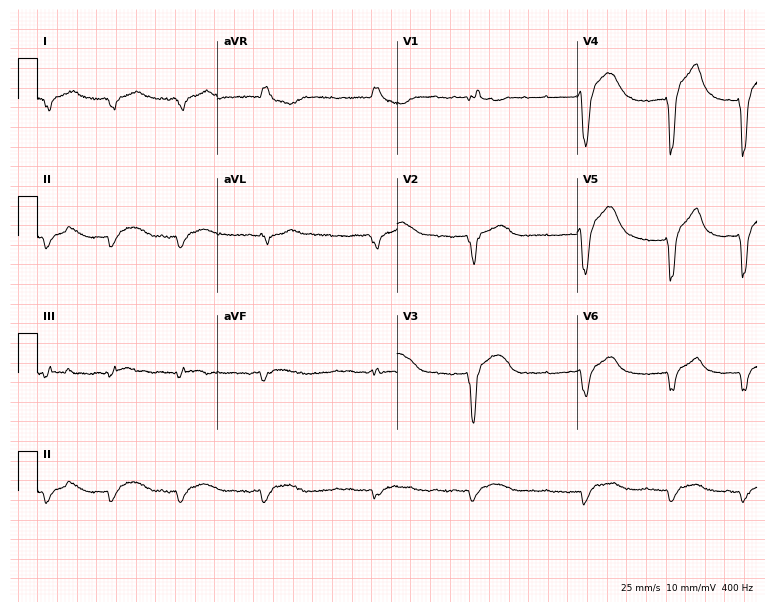
ECG — a 64-year-old male patient. Findings include atrial fibrillation.